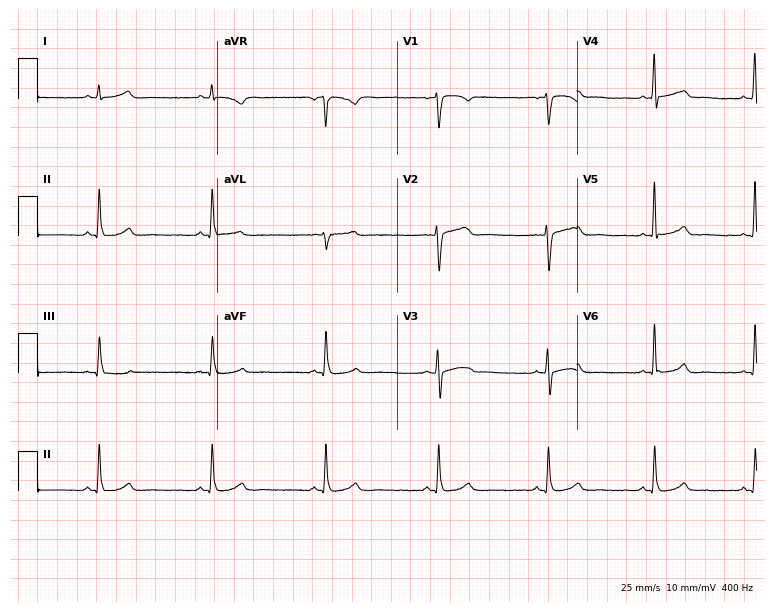
Resting 12-lead electrocardiogram. Patient: a woman, 42 years old. Read as a normal ECG.